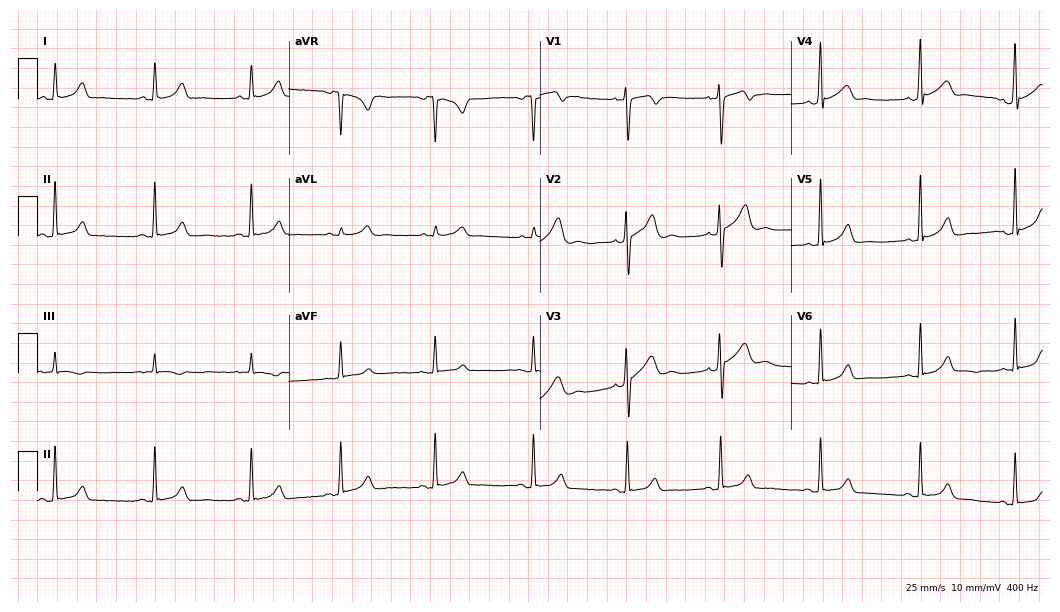
12-lead ECG from a woman, 20 years old. Labelled as a normal ECG.